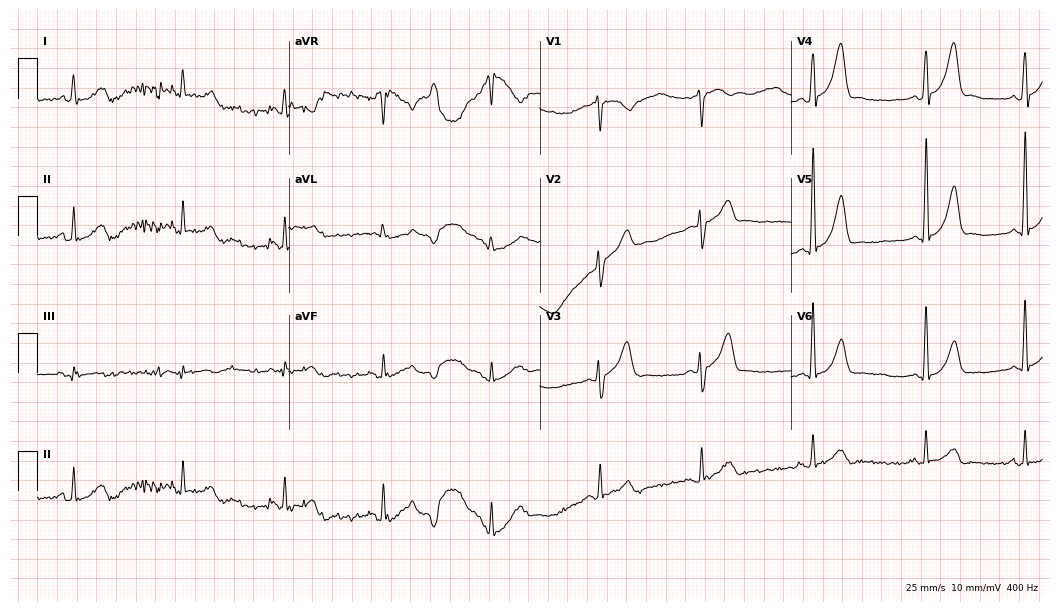
Electrocardiogram (10.2-second recording at 400 Hz), a male, 51 years old. Of the six screened findings (first-degree AV block, right bundle branch block, left bundle branch block, sinus bradycardia, atrial fibrillation, sinus tachycardia), none is recorded.